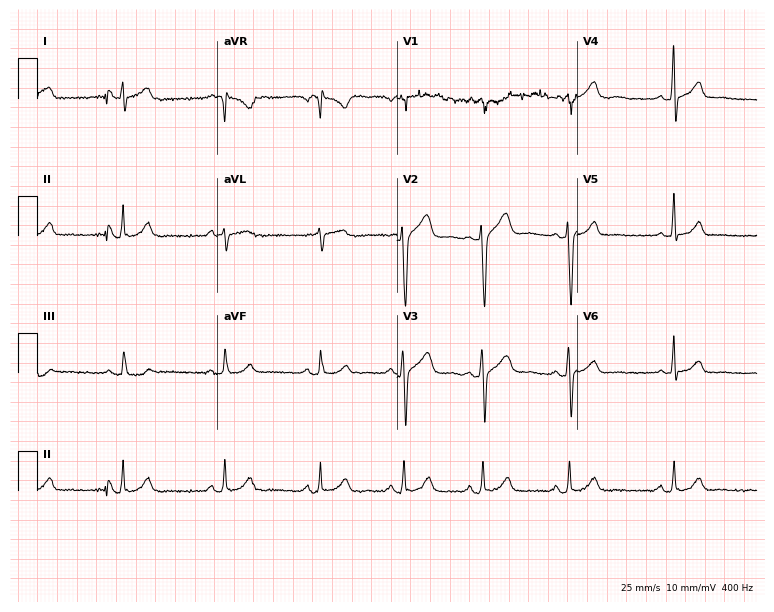
Standard 12-lead ECG recorded from a 44-year-old man. Read as a normal ECG.